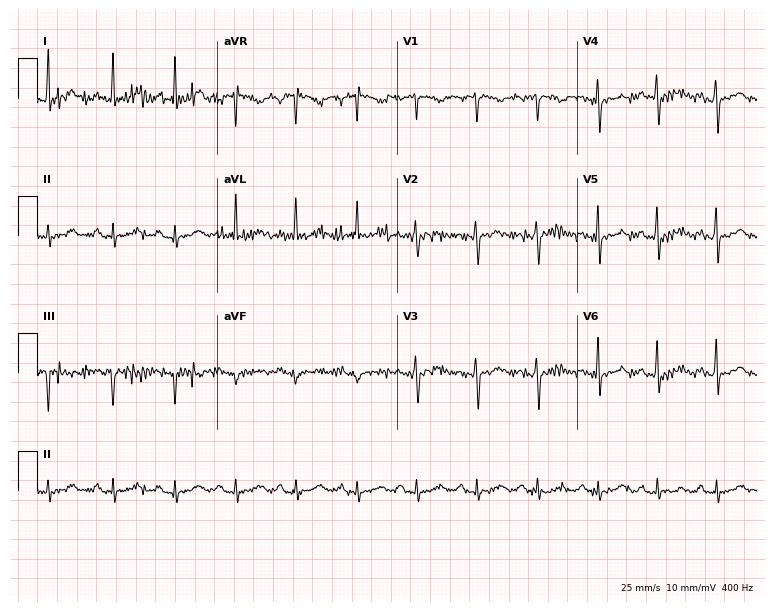
12-lead ECG from a female patient, 44 years old. No first-degree AV block, right bundle branch block, left bundle branch block, sinus bradycardia, atrial fibrillation or sinus tachycardia recorded for this tracing.